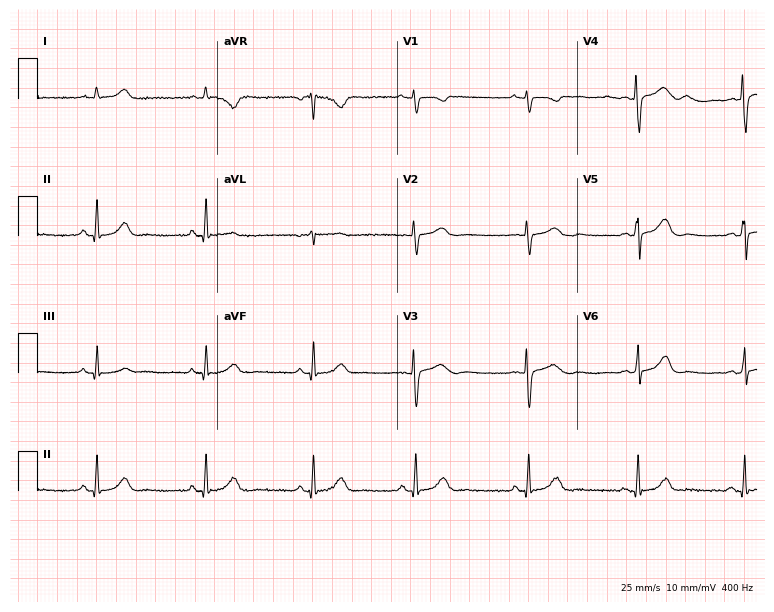
ECG (7.3-second recording at 400 Hz) — a 20-year-old female patient. Screened for six findings — first-degree AV block, right bundle branch block, left bundle branch block, sinus bradycardia, atrial fibrillation, sinus tachycardia — none is recorded.